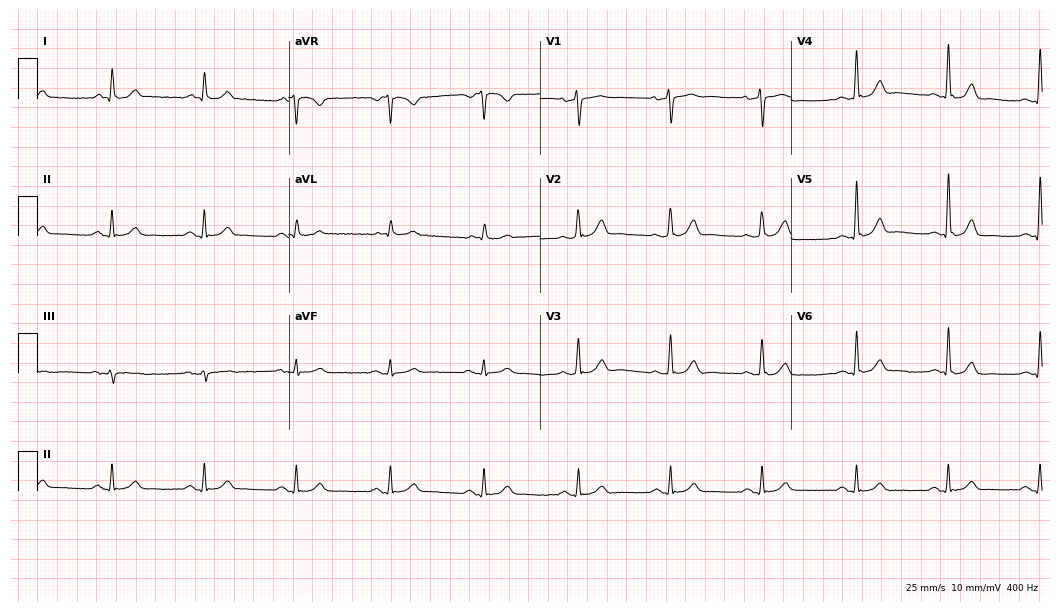
12-lead ECG from a man, 69 years old. Recorded interpretation: within normal limits.